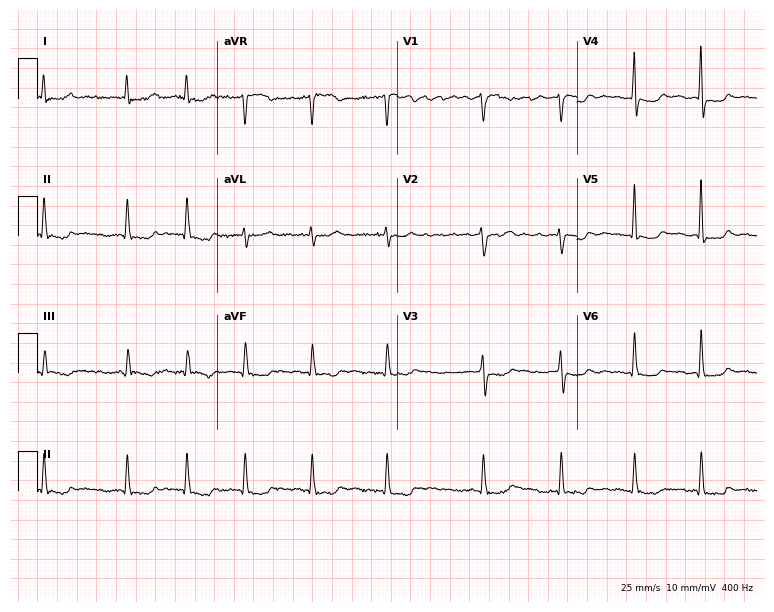
ECG (7.3-second recording at 400 Hz) — a 65-year-old female. Findings include atrial fibrillation.